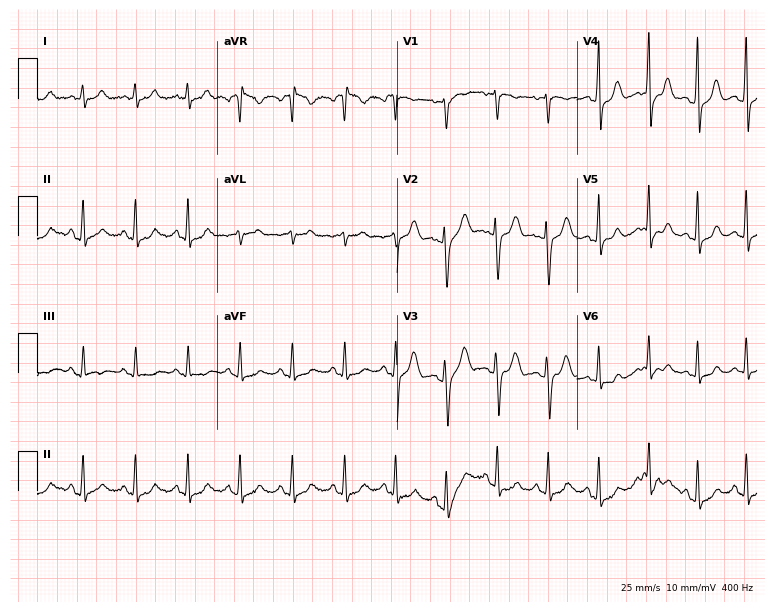
Standard 12-lead ECG recorded from a female, 29 years old. The tracing shows sinus tachycardia (a sinus rate of 100 beats per minute or more).